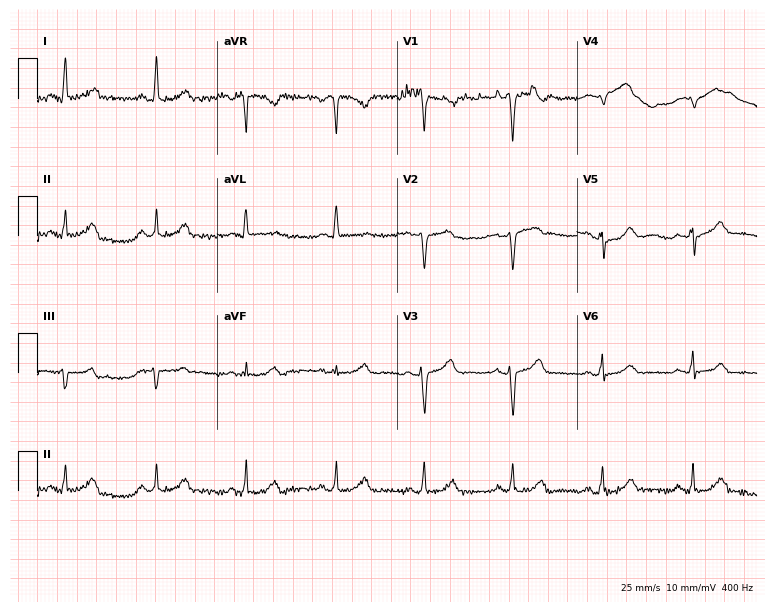
Standard 12-lead ECG recorded from a 54-year-old female. None of these six findings is recorded: first-degree AV block, right bundle branch block, left bundle branch block, sinus bradycardia, atrial fibrillation, sinus tachycardia. Only these six findings were labelled.